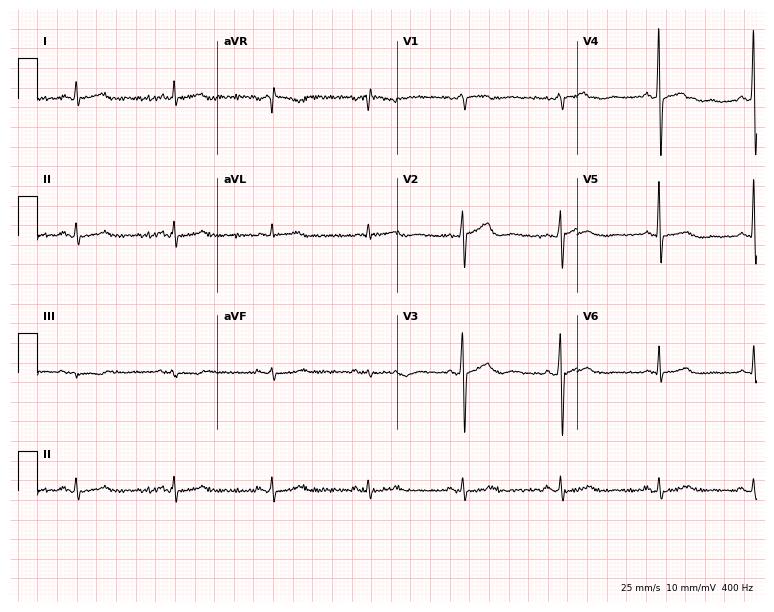
Standard 12-lead ECG recorded from a 63-year-old male patient (7.3-second recording at 400 Hz). None of these six findings is recorded: first-degree AV block, right bundle branch block, left bundle branch block, sinus bradycardia, atrial fibrillation, sinus tachycardia.